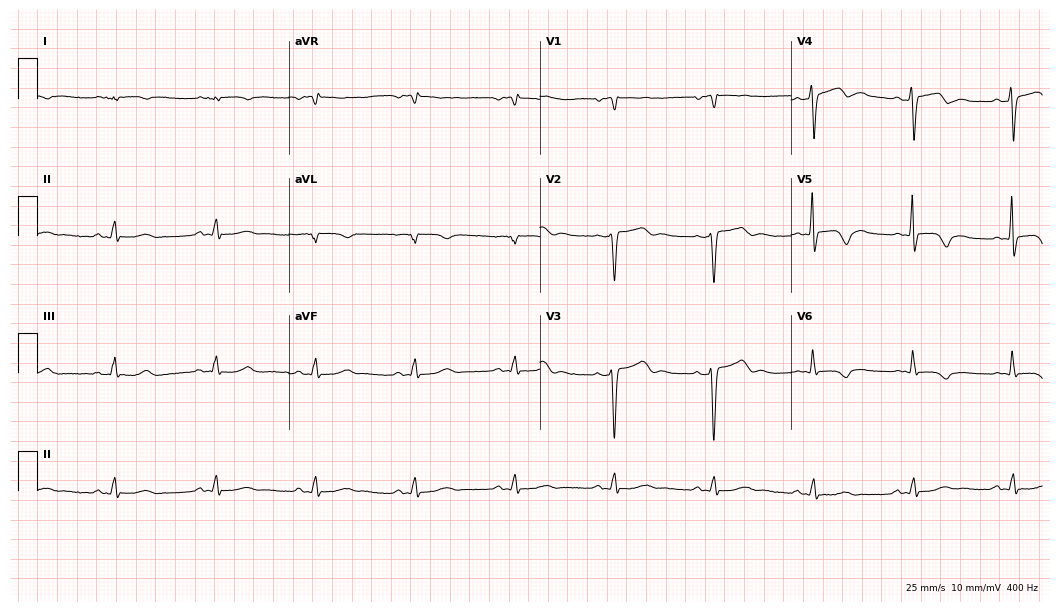
12-lead ECG from a 75-year-old female. Labelled as a normal ECG.